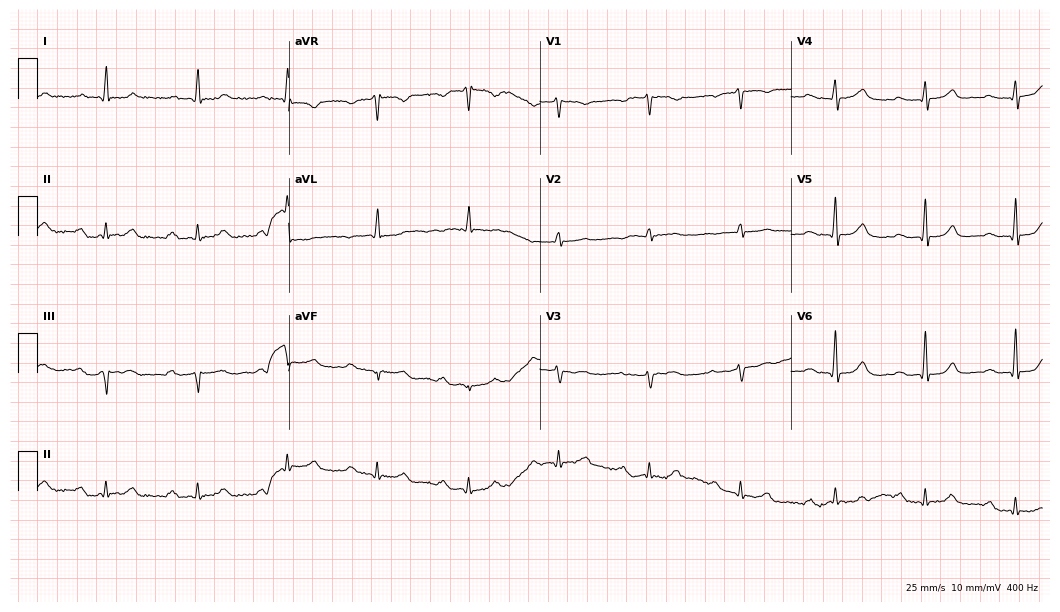
Resting 12-lead electrocardiogram (10.2-second recording at 400 Hz). Patient: a female, 79 years old. None of these six findings is recorded: first-degree AV block, right bundle branch block, left bundle branch block, sinus bradycardia, atrial fibrillation, sinus tachycardia. Only these six findings were labelled.